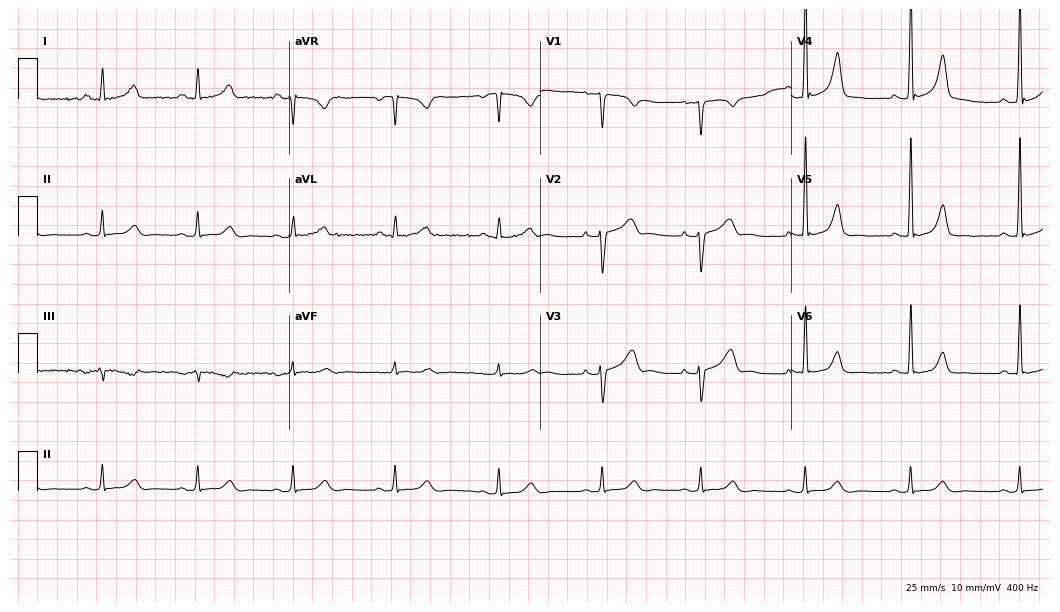
Electrocardiogram, a 38-year-old woman. Overall reading on record: normal ECG.